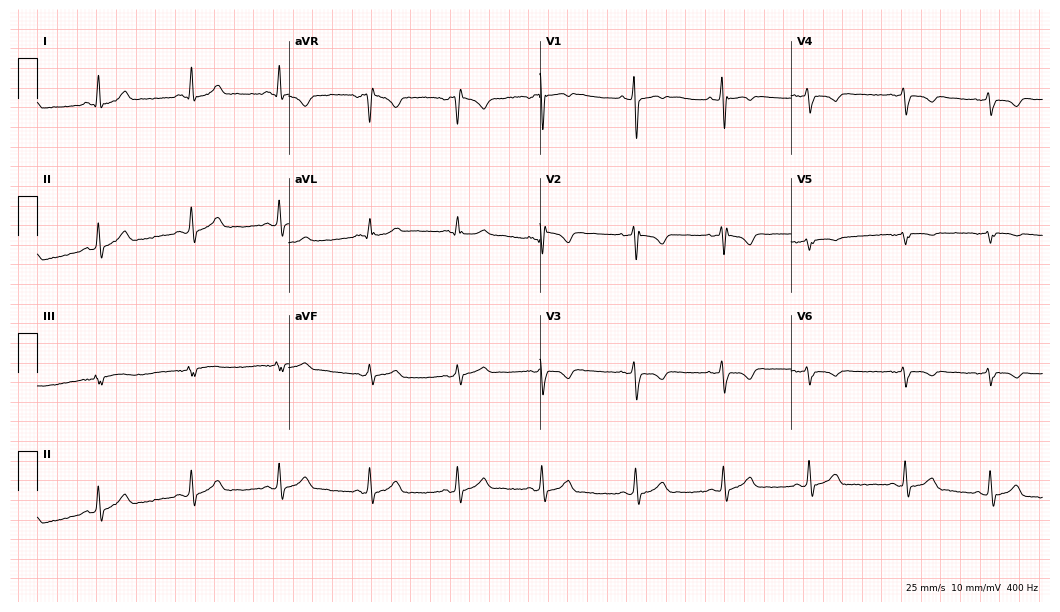
12-lead ECG (10.2-second recording at 400 Hz) from a man, 18 years old. Screened for six findings — first-degree AV block, right bundle branch block (RBBB), left bundle branch block (LBBB), sinus bradycardia, atrial fibrillation (AF), sinus tachycardia — none is recorded. Findings outside these six are not listed.